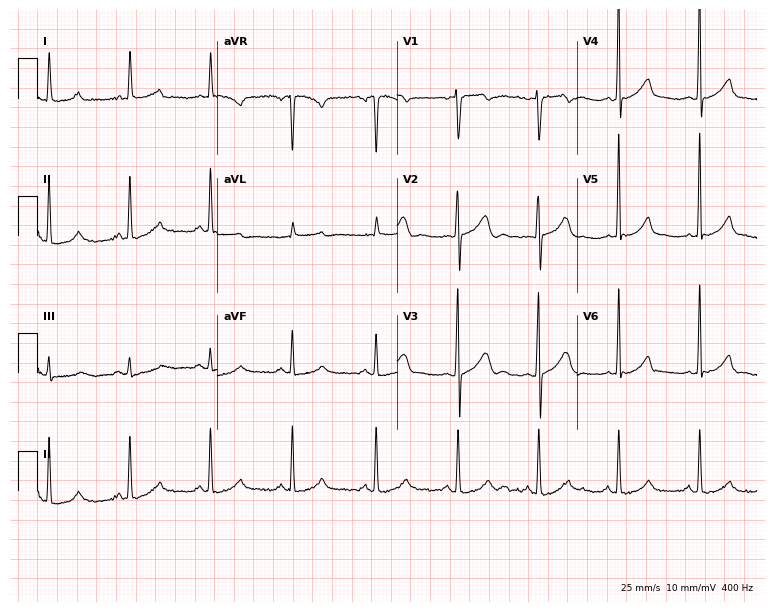
Resting 12-lead electrocardiogram (7.3-second recording at 400 Hz). Patient: a 61-year-old female. Read as a normal ECG.